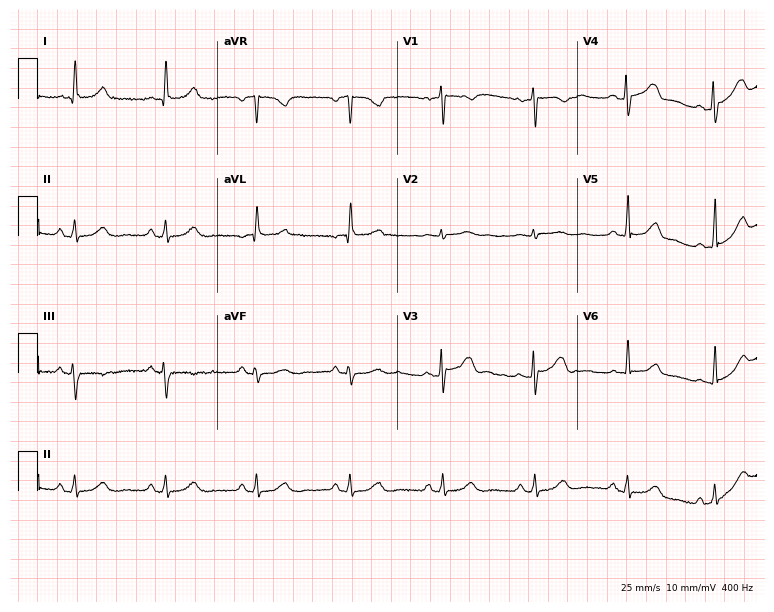
12-lead ECG from a female, 63 years old (7.3-second recording at 400 Hz). Recorded interpretation: within normal limits.